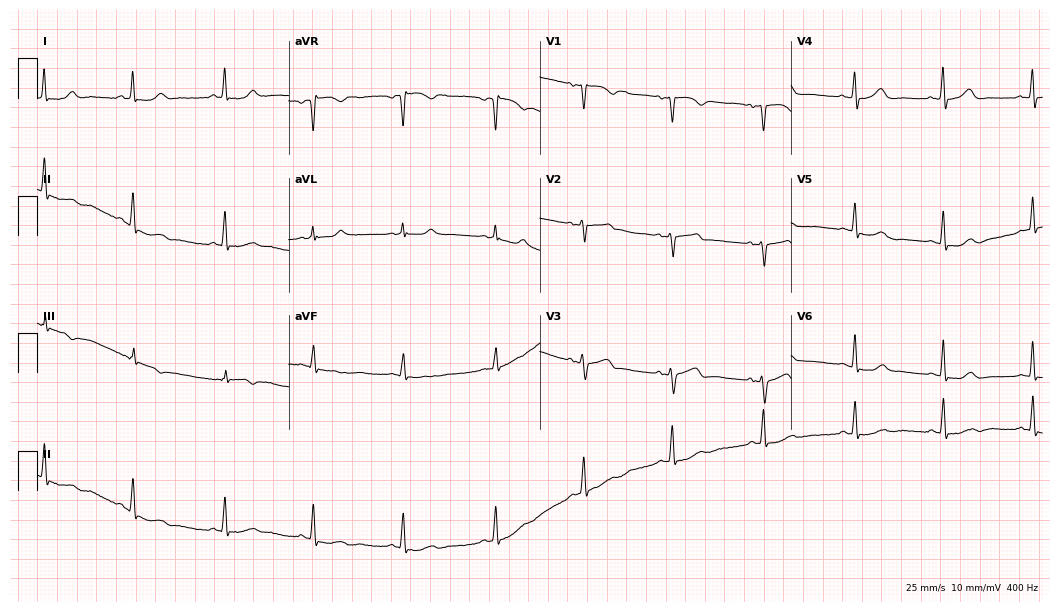
Electrocardiogram, a 48-year-old female. Of the six screened findings (first-degree AV block, right bundle branch block, left bundle branch block, sinus bradycardia, atrial fibrillation, sinus tachycardia), none is recorded.